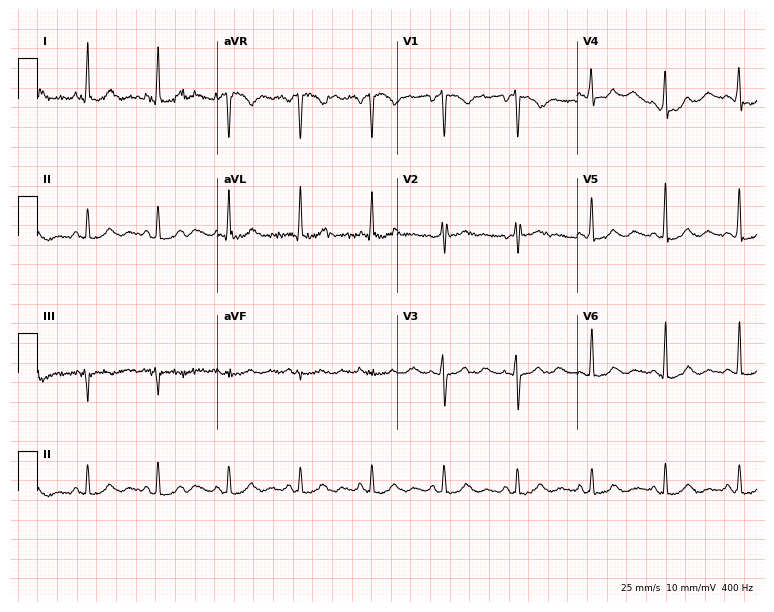
12-lead ECG from a 52-year-old female patient (7.3-second recording at 400 Hz). No first-degree AV block, right bundle branch block (RBBB), left bundle branch block (LBBB), sinus bradycardia, atrial fibrillation (AF) or sinus tachycardia recorded for this tracing.